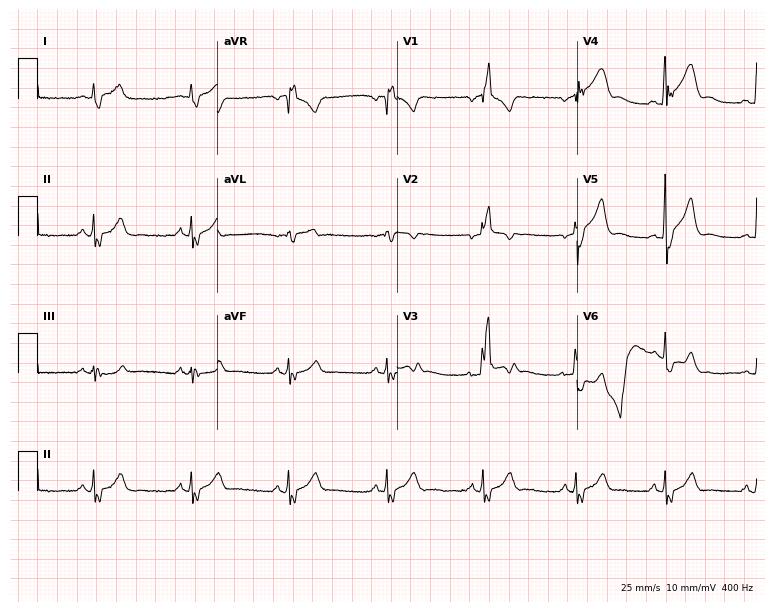
Resting 12-lead electrocardiogram. Patient: a 47-year-old male. The tracing shows right bundle branch block (RBBB).